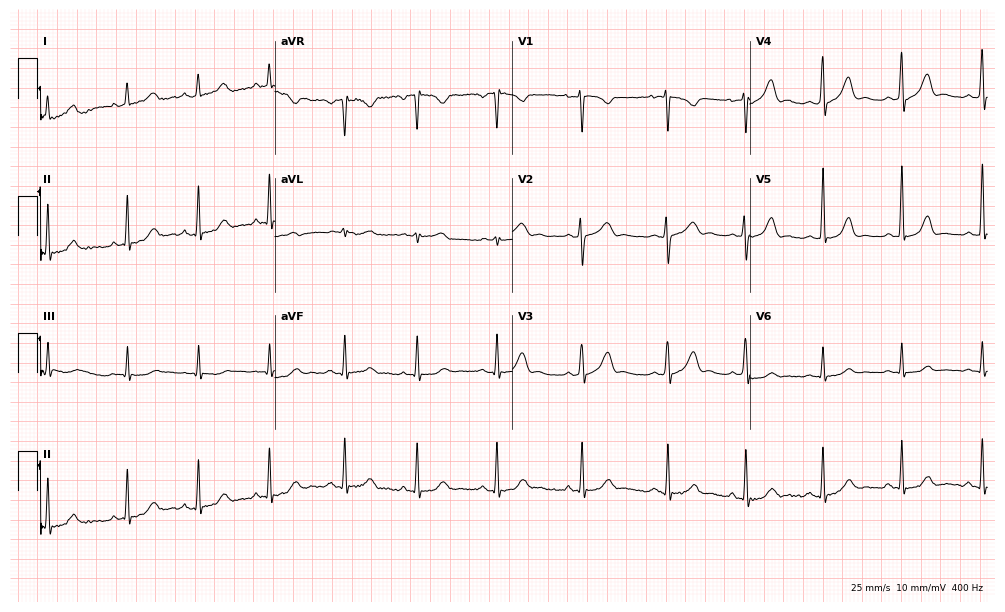
Electrocardiogram (9.7-second recording at 400 Hz), a female patient, 21 years old. Overall reading on record: normal ECG.